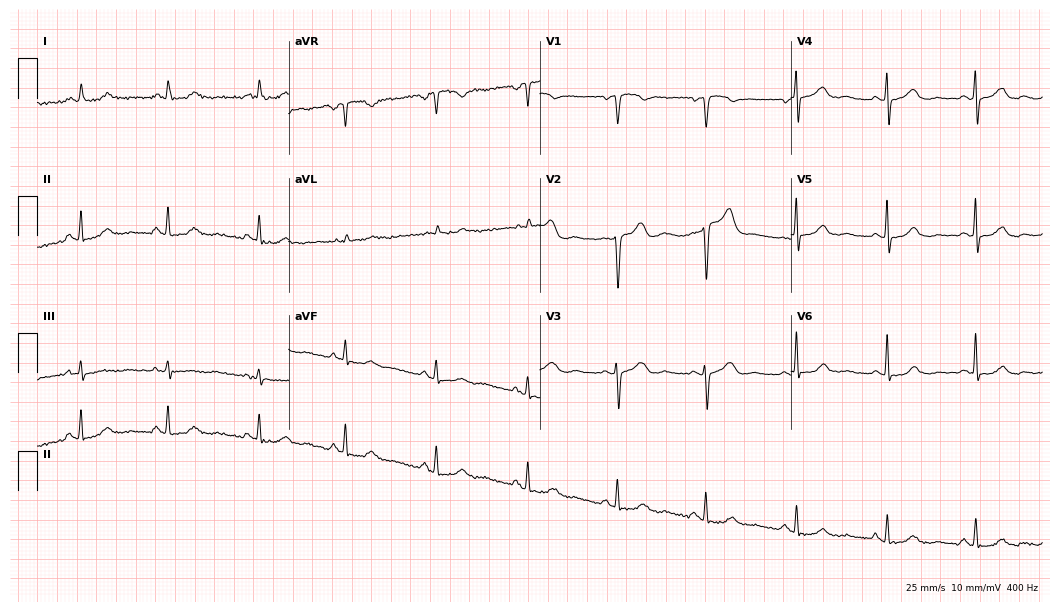
ECG (10.2-second recording at 400 Hz) — a man, 35 years old. Screened for six findings — first-degree AV block, right bundle branch block (RBBB), left bundle branch block (LBBB), sinus bradycardia, atrial fibrillation (AF), sinus tachycardia — none is recorded.